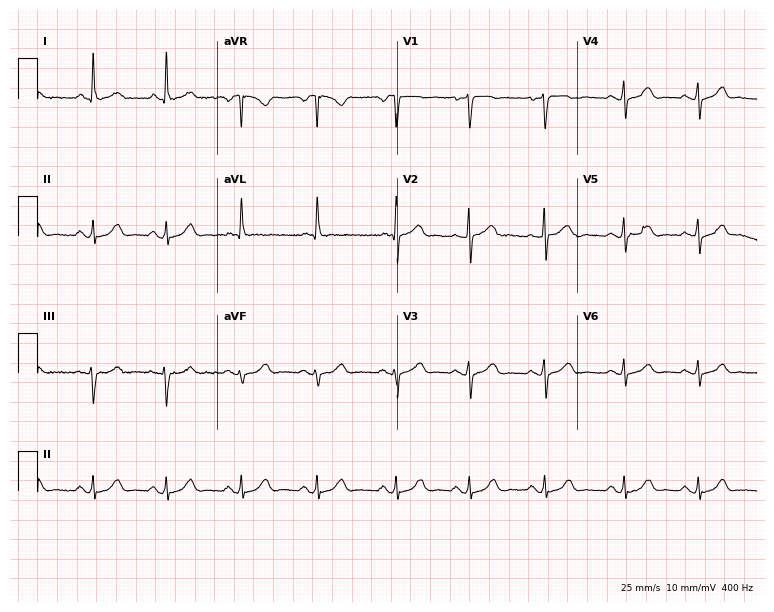
Standard 12-lead ECG recorded from a 73-year-old woman. Read as a normal ECG.